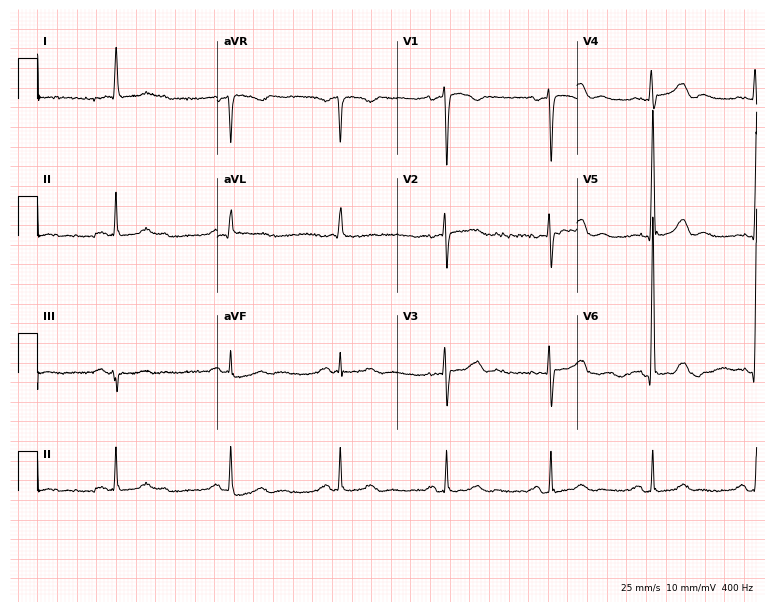
12-lead ECG from a female patient, 68 years old (7.3-second recording at 400 Hz). No first-degree AV block, right bundle branch block (RBBB), left bundle branch block (LBBB), sinus bradycardia, atrial fibrillation (AF) or sinus tachycardia recorded for this tracing. Only these six findings were labelled.